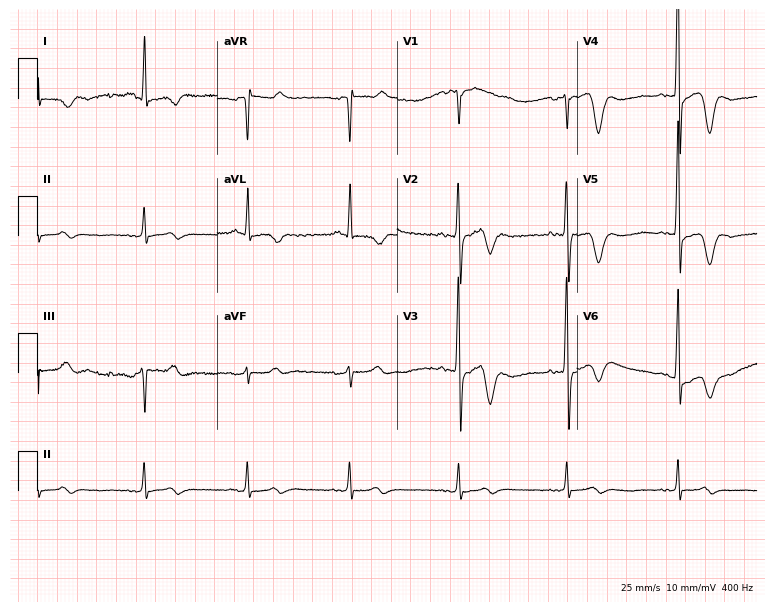
12-lead ECG from a 74-year-old male. Screened for six findings — first-degree AV block, right bundle branch block, left bundle branch block, sinus bradycardia, atrial fibrillation, sinus tachycardia — none is recorded.